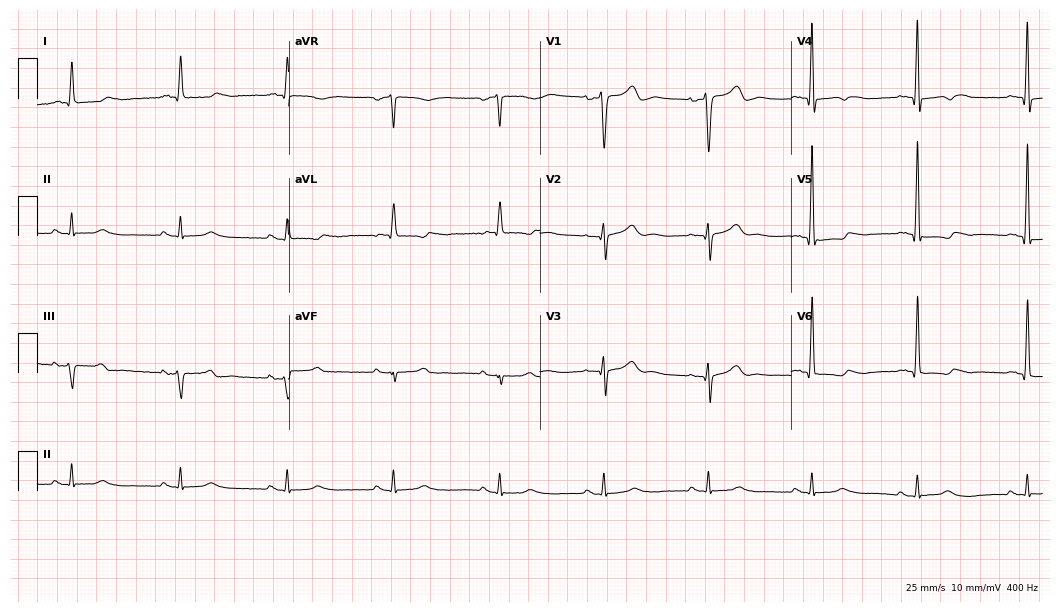
12-lead ECG from an 85-year-old male patient. Screened for six findings — first-degree AV block, right bundle branch block, left bundle branch block, sinus bradycardia, atrial fibrillation, sinus tachycardia — none is recorded.